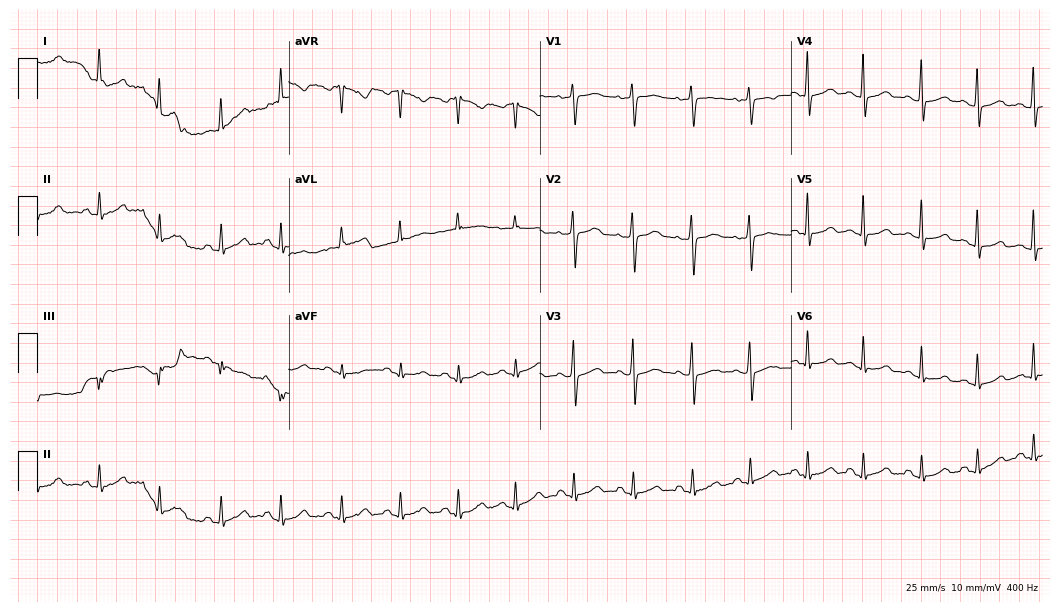
Electrocardiogram (10.2-second recording at 400 Hz), a 51-year-old female patient. Overall reading on record: normal ECG.